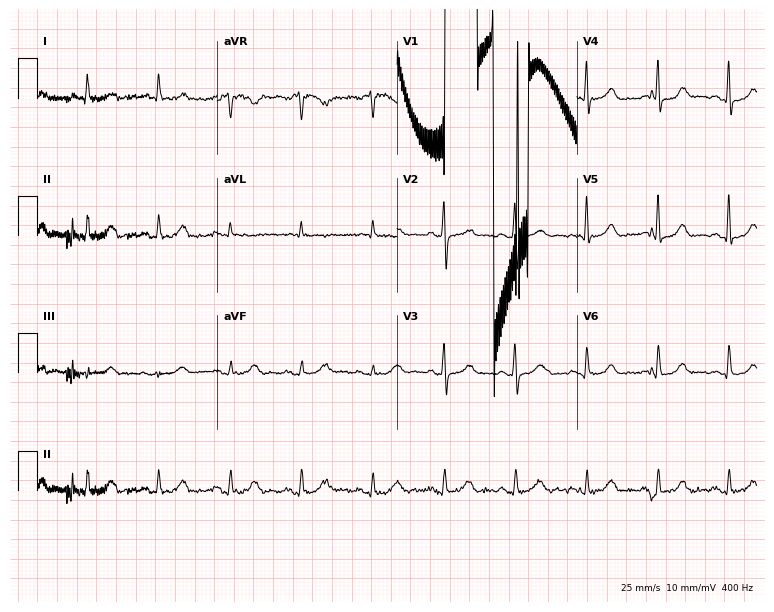
12-lead ECG (7.3-second recording at 400 Hz) from a 78-year-old man. Screened for six findings — first-degree AV block, right bundle branch block, left bundle branch block, sinus bradycardia, atrial fibrillation, sinus tachycardia — none is recorded. Findings outside these six are not listed.